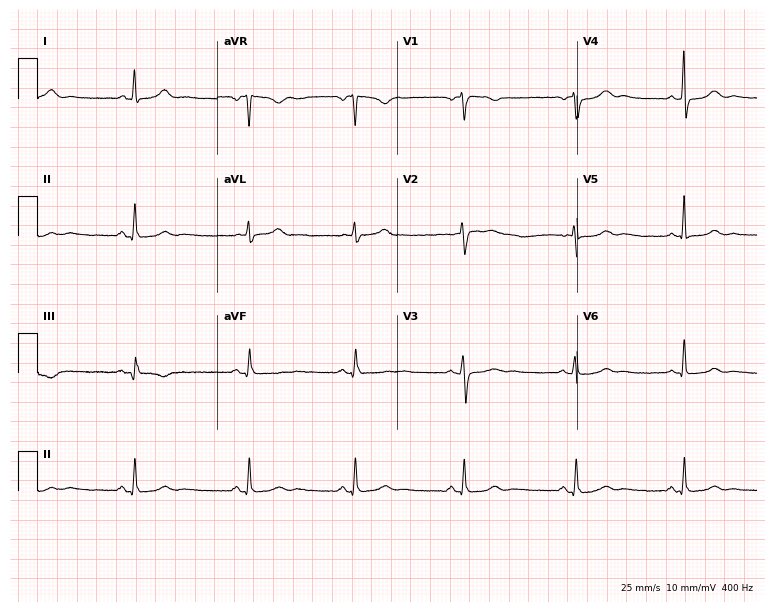
Electrocardiogram (7.3-second recording at 400 Hz), a 45-year-old female patient. Overall reading on record: normal ECG.